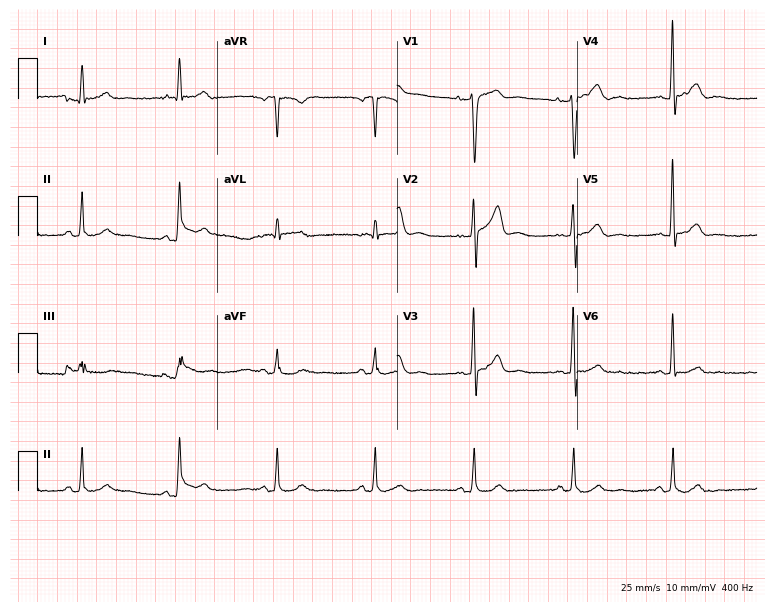
Standard 12-lead ECG recorded from a 71-year-old male patient. Read as a normal ECG.